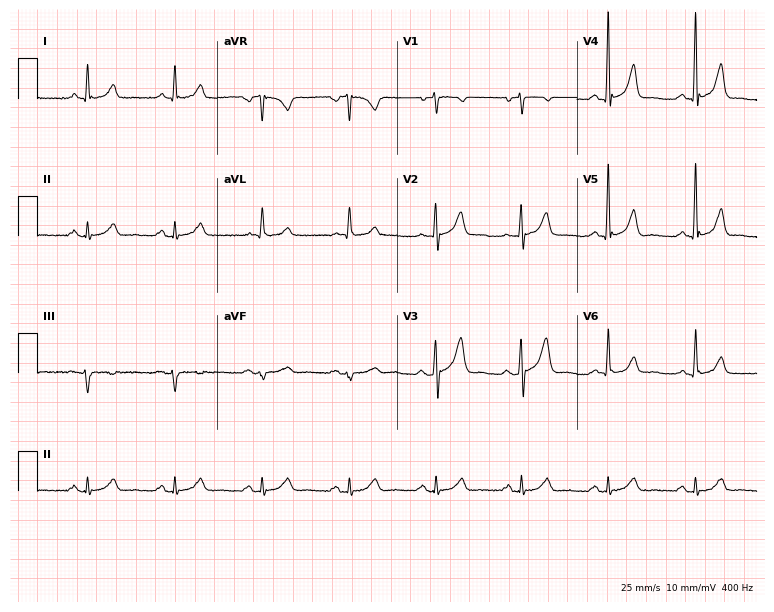
12-lead ECG from a 67-year-old male patient. Recorded interpretation: within normal limits.